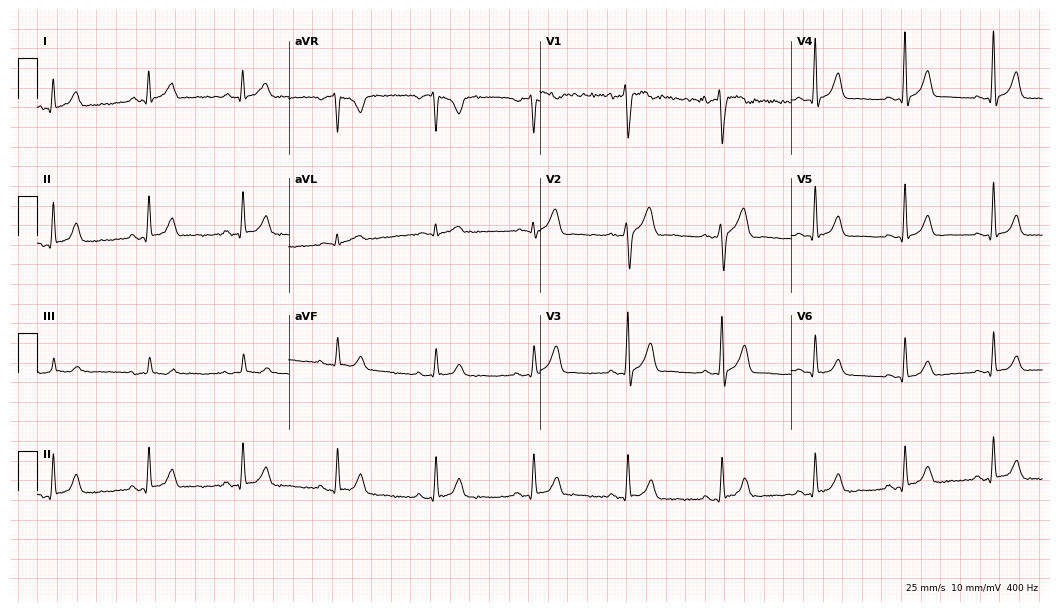
12-lead ECG from a male, 46 years old. Recorded interpretation: within normal limits.